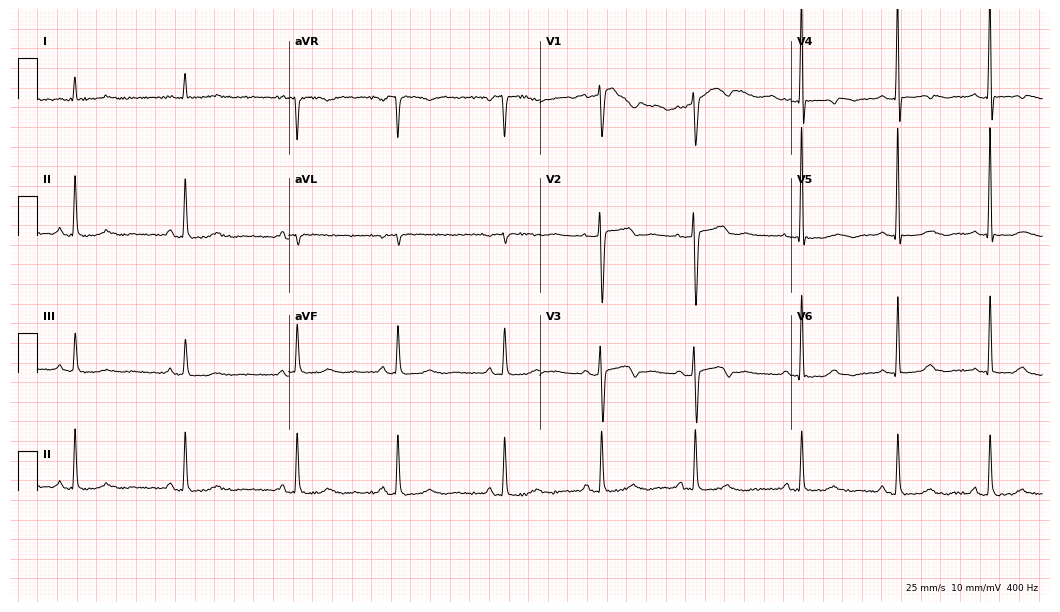
Standard 12-lead ECG recorded from a 53-year-old female patient. None of these six findings is recorded: first-degree AV block, right bundle branch block, left bundle branch block, sinus bradycardia, atrial fibrillation, sinus tachycardia. Only these six findings were labelled.